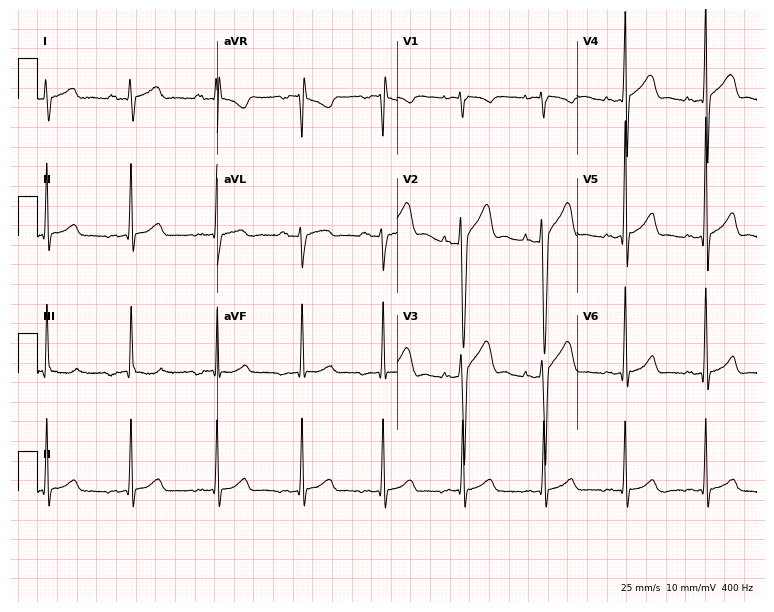
Resting 12-lead electrocardiogram (7.3-second recording at 400 Hz). Patient: a 22-year-old male. None of these six findings is recorded: first-degree AV block, right bundle branch block, left bundle branch block, sinus bradycardia, atrial fibrillation, sinus tachycardia. Other findings, if any, are not listed.